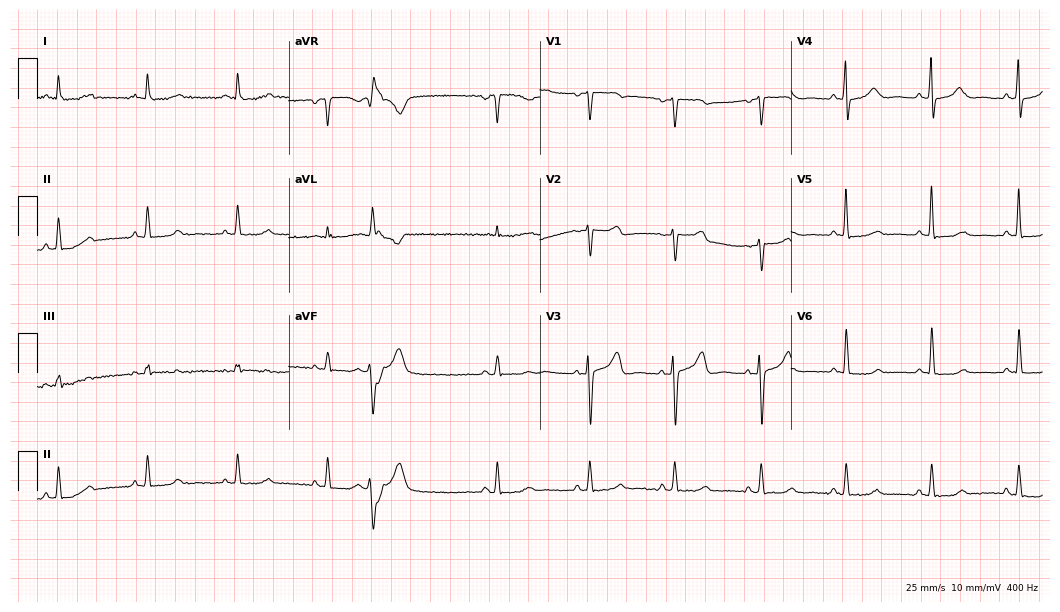
12-lead ECG from a female patient, 58 years old. Recorded interpretation: within normal limits.